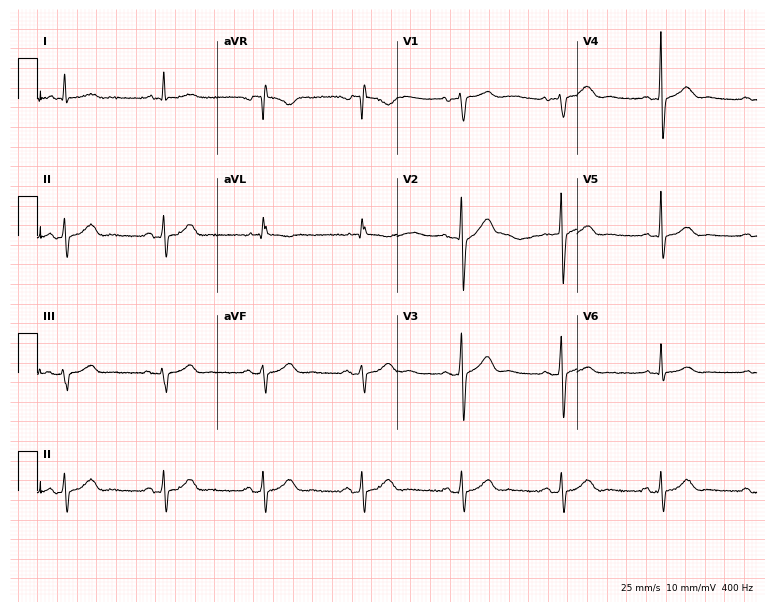
Resting 12-lead electrocardiogram. Patient: a 63-year-old female. Read as a normal ECG.